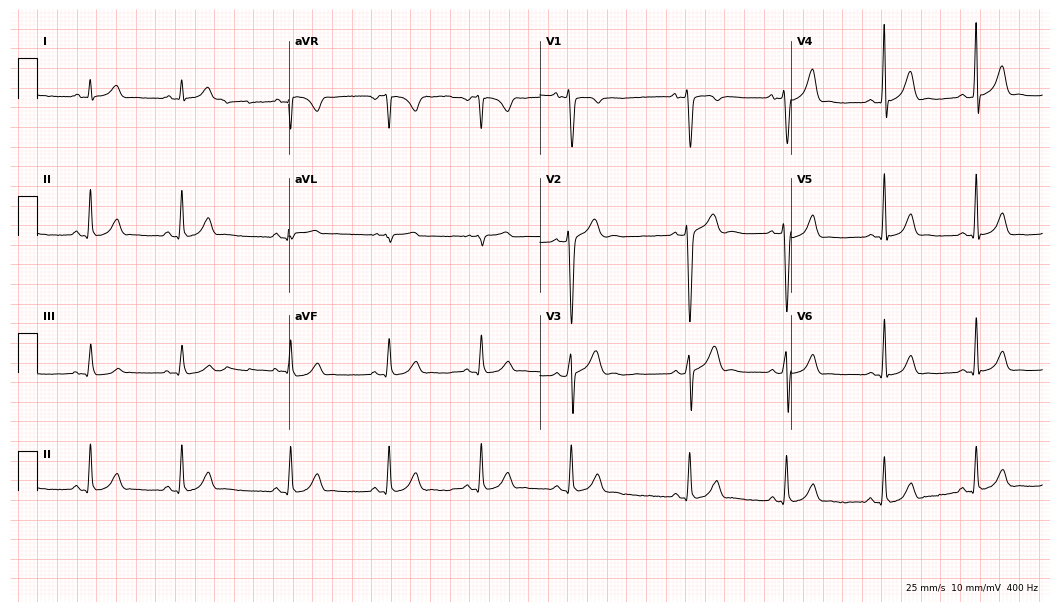
12-lead ECG from a 19-year-old male. Screened for six findings — first-degree AV block, right bundle branch block, left bundle branch block, sinus bradycardia, atrial fibrillation, sinus tachycardia — none is recorded.